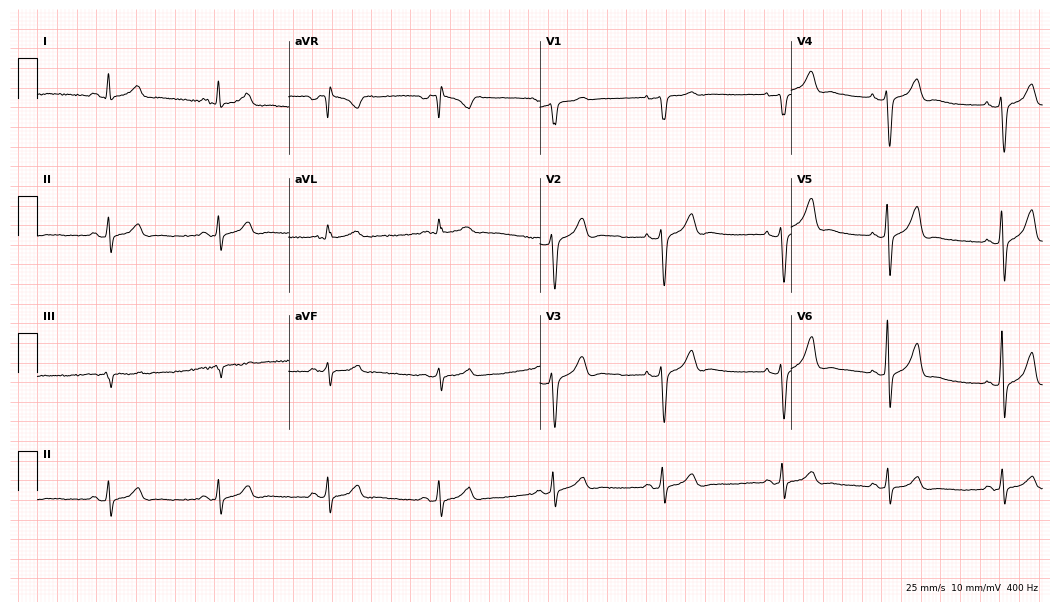
Standard 12-lead ECG recorded from a 50-year-old man. Read as a normal ECG.